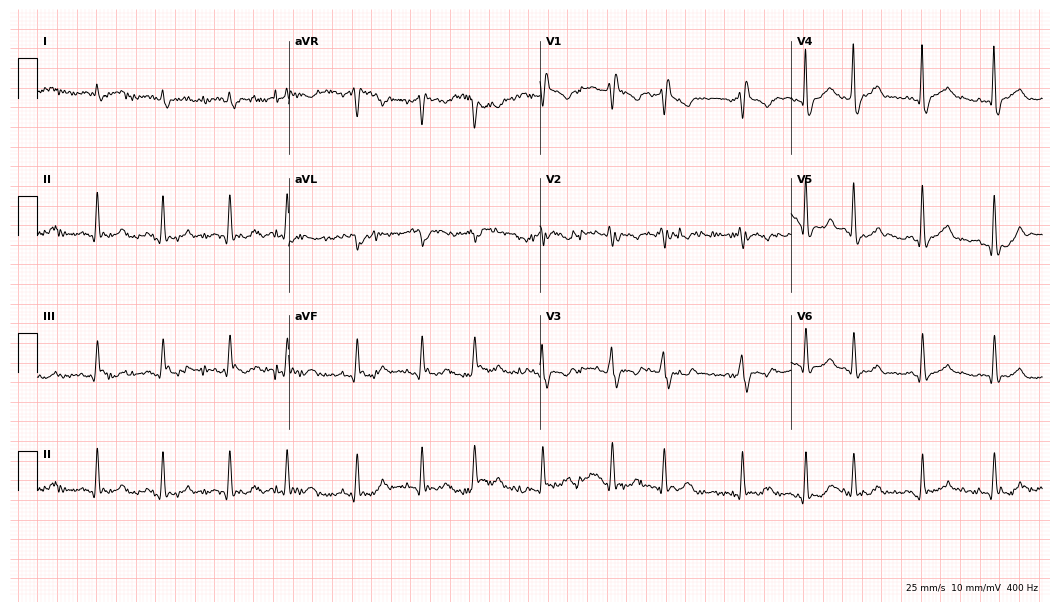
Standard 12-lead ECG recorded from a 65-year-old man (10.2-second recording at 400 Hz). None of these six findings is recorded: first-degree AV block, right bundle branch block, left bundle branch block, sinus bradycardia, atrial fibrillation, sinus tachycardia.